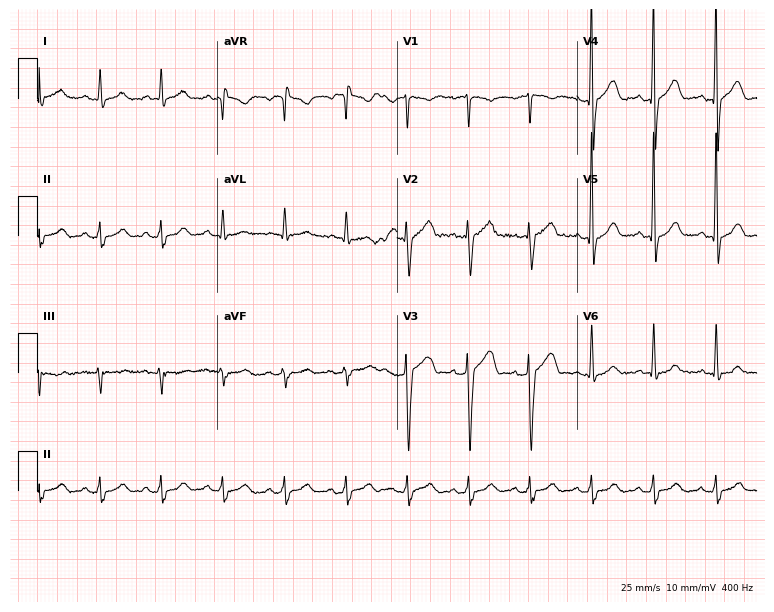
ECG — a 59-year-old male. Labelled as a normal ECG.